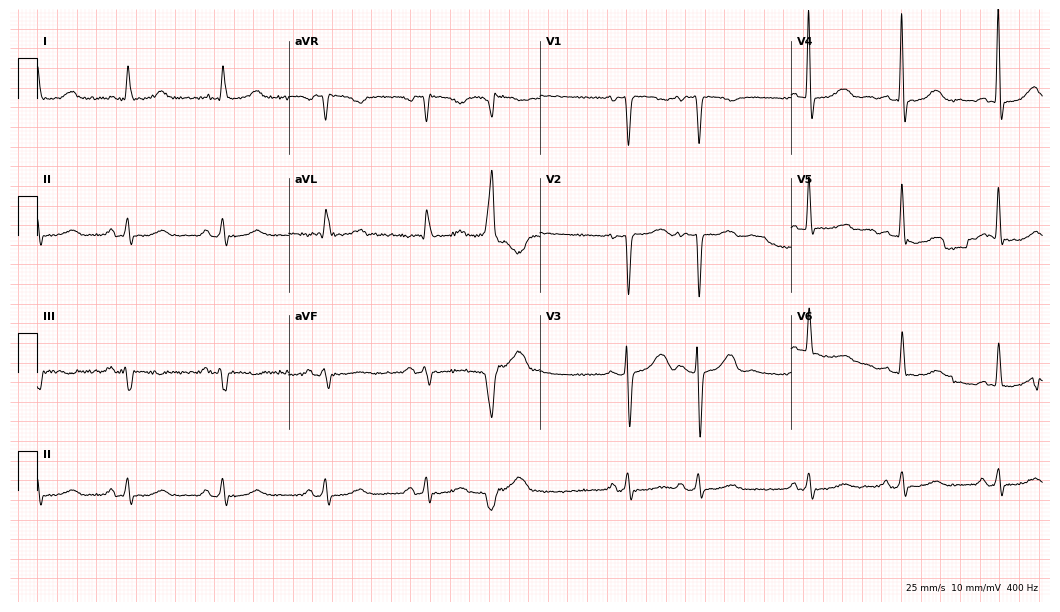
ECG (10.2-second recording at 400 Hz) — a woman, 79 years old. Screened for six findings — first-degree AV block, right bundle branch block, left bundle branch block, sinus bradycardia, atrial fibrillation, sinus tachycardia — none is recorded.